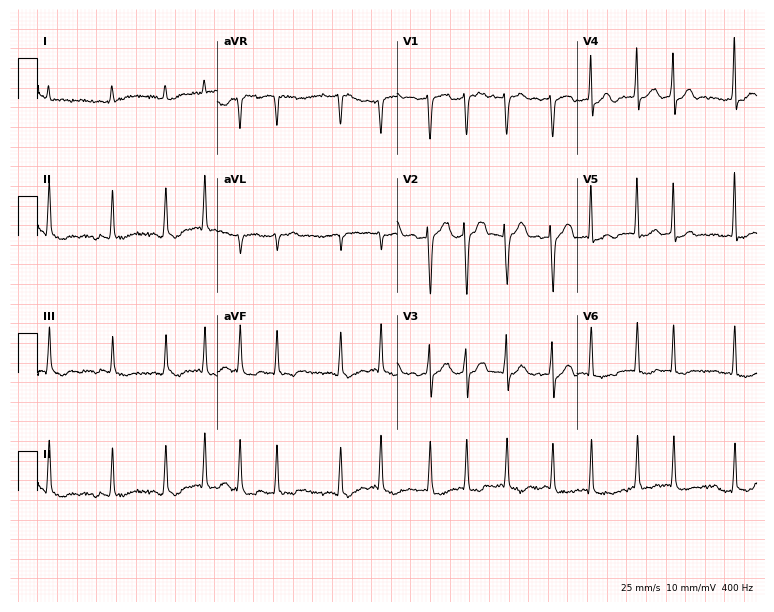
Resting 12-lead electrocardiogram (7.3-second recording at 400 Hz). Patient: a female, 81 years old. The tracing shows atrial fibrillation.